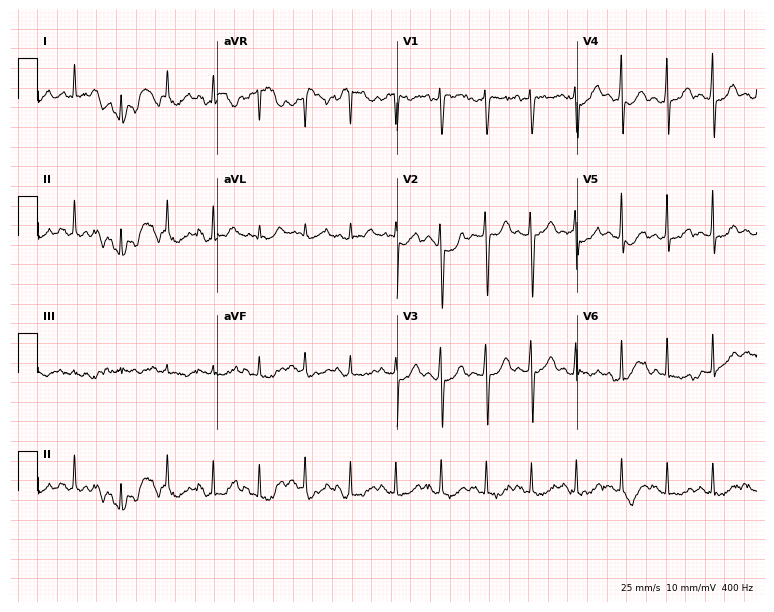
Standard 12-lead ECG recorded from a man, 47 years old. The tracing shows sinus tachycardia (a sinus rate of 100 beats per minute or more).